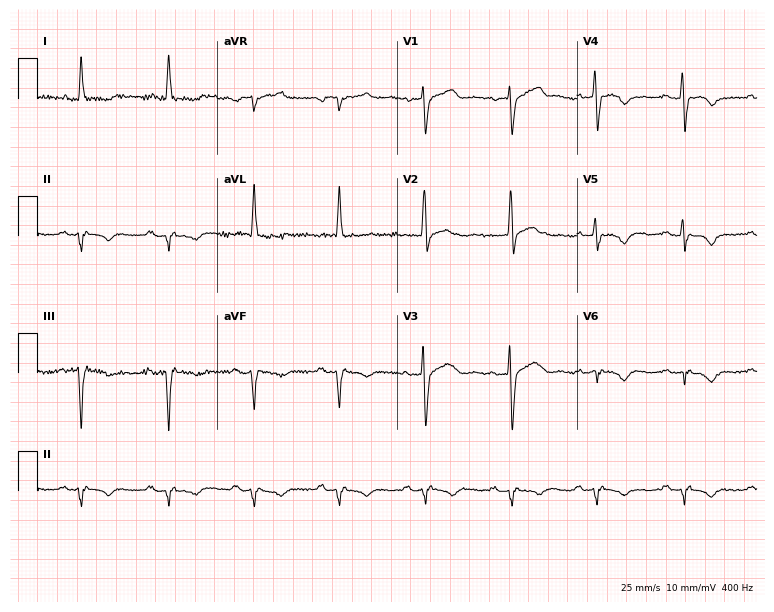
12-lead ECG from a male, 68 years old (7.3-second recording at 400 Hz). No first-degree AV block, right bundle branch block (RBBB), left bundle branch block (LBBB), sinus bradycardia, atrial fibrillation (AF) or sinus tachycardia recorded for this tracing. Other findings, if any, are not listed.